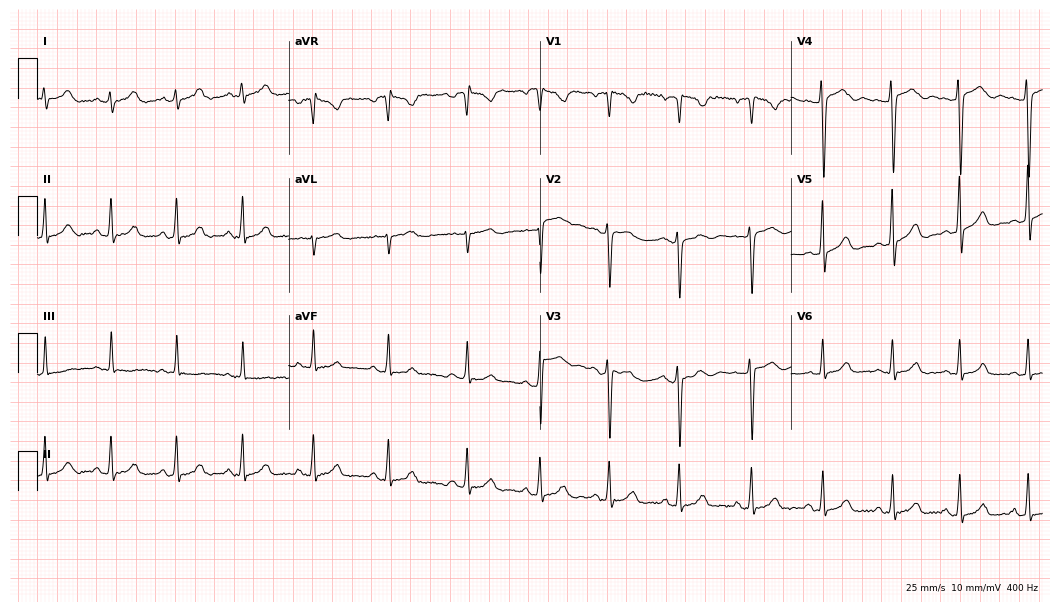
Standard 12-lead ECG recorded from a 22-year-old female patient (10.2-second recording at 400 Hz). Read as a normal ECG.